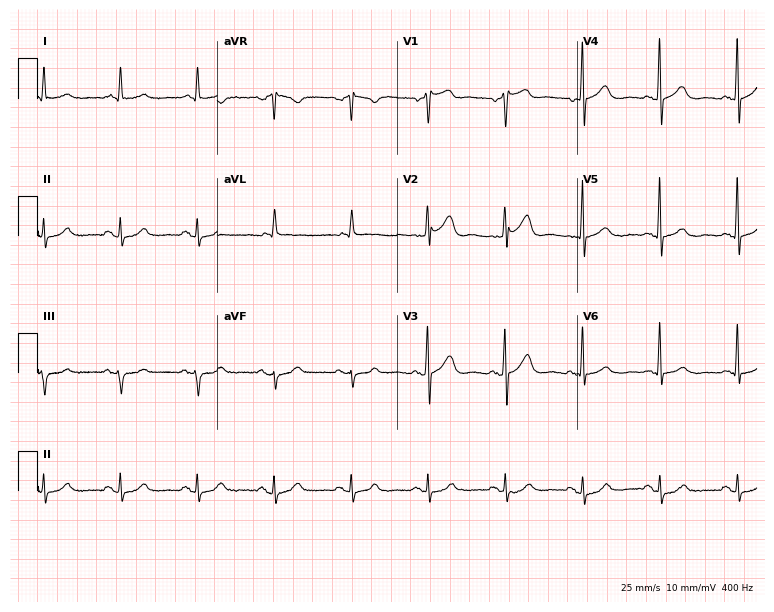
12-lead ECG from a male patient, 64 years old (7.3-second recording at 400 Hz). Recorded interpretation: within normal limits.